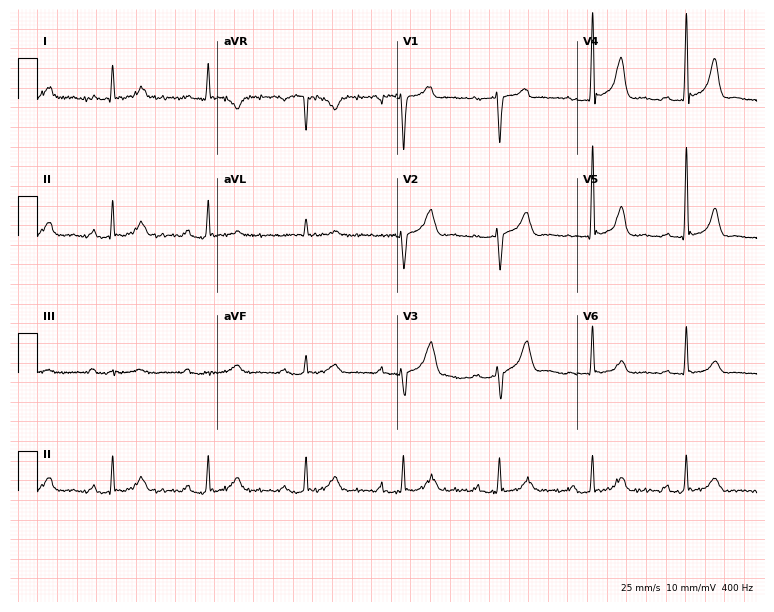
Resting 12-lead electrocardiogram (7.3-second recording at 400 Hz). Patient: a 62-year-old male. The tracing shows first-degree AV block.